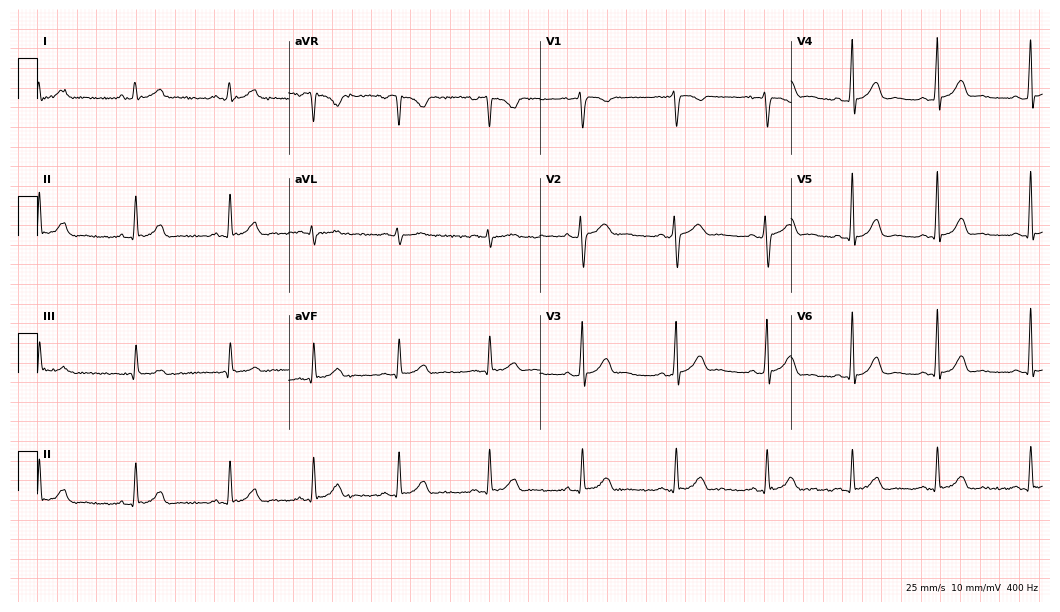
Resting 12-lead electrocardiogram (10.2-second recording at 400 Hz). Patient: a 24-year-old female. Read as a normal ECG.